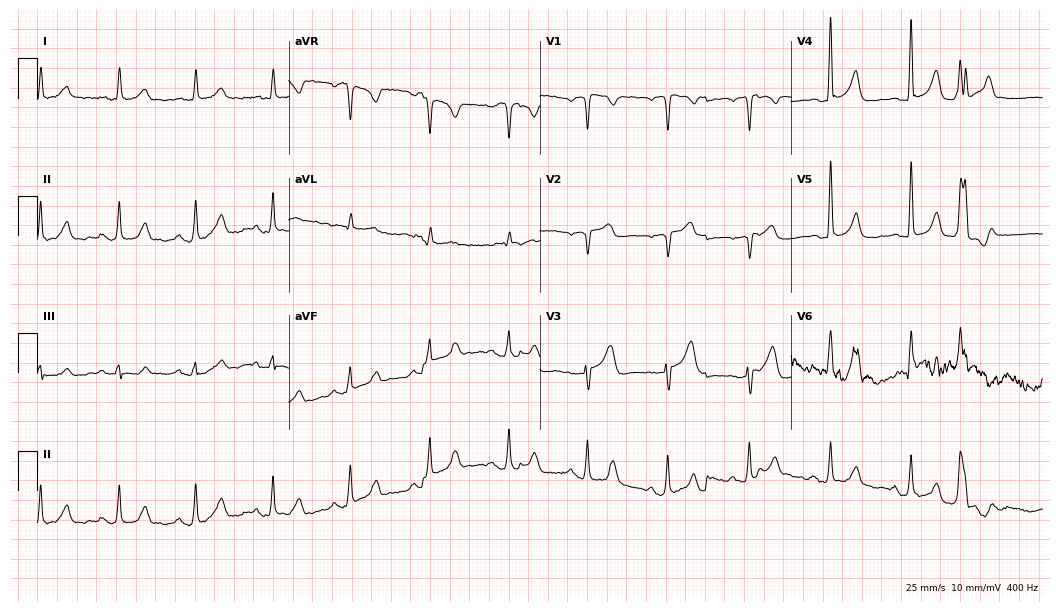
ECG (10.2-second recording at 400 Hz) — a 69-year-old male patient. Screened for six findings — first-degree AV block, right bundle branch block, left bundle branch block, sinus bradycardia, atrial fibrillation, sinus tachycardia — none is recorded. Findings outside these six are not listed.